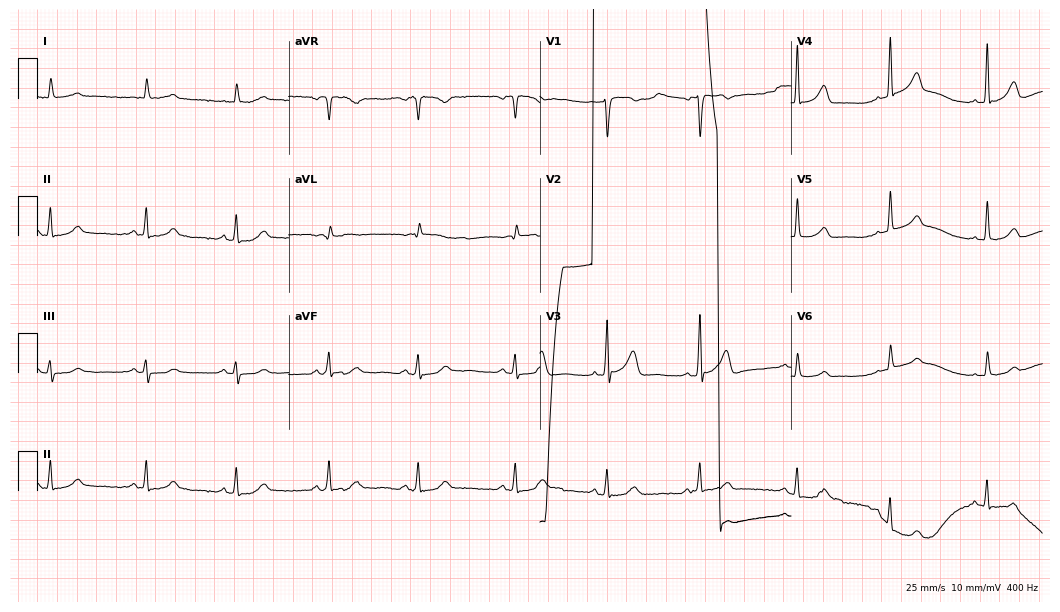
Resting 12-lead electrocardiogram. Patient: an 81-year-old female. None of these six findings is recorded: first-degree AV block, right bundle branch block, left bundle branch block, sinus bradycardia, atrial fibrillation, sinus tachycardia. Findings outside these six are not listed.